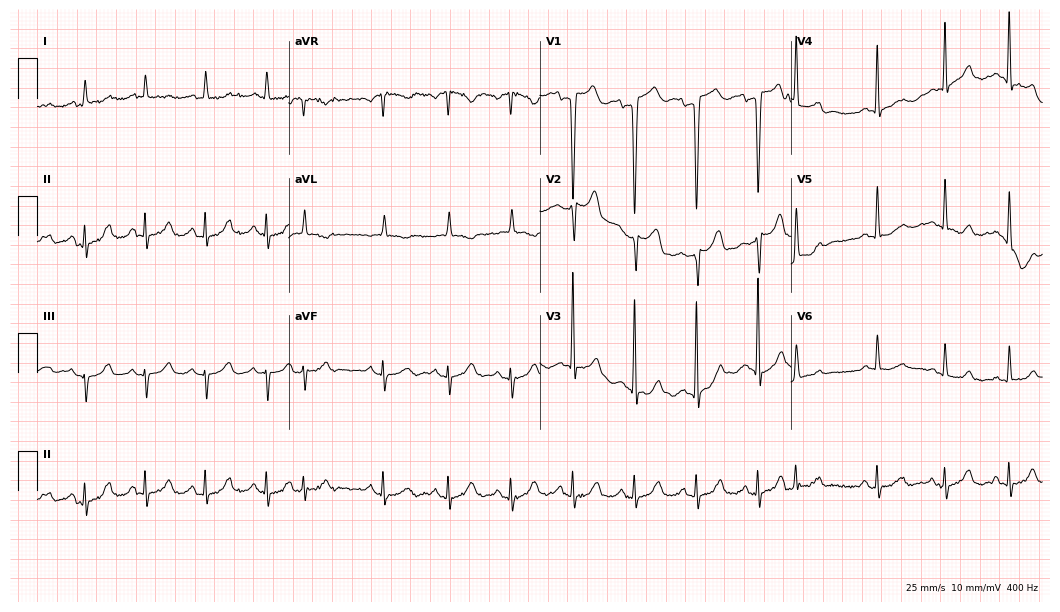
Standard 12-lead ECG recorded from an 85-year-old woman (10.2-second recording at 400 Hz). None of these six findings is recorded: first-degree AV block, right bundle branch block, left bundle branch block, sinus bradycardia, atrial fibrillation, sinus tachycardia. Other findings, if any, are not listed.